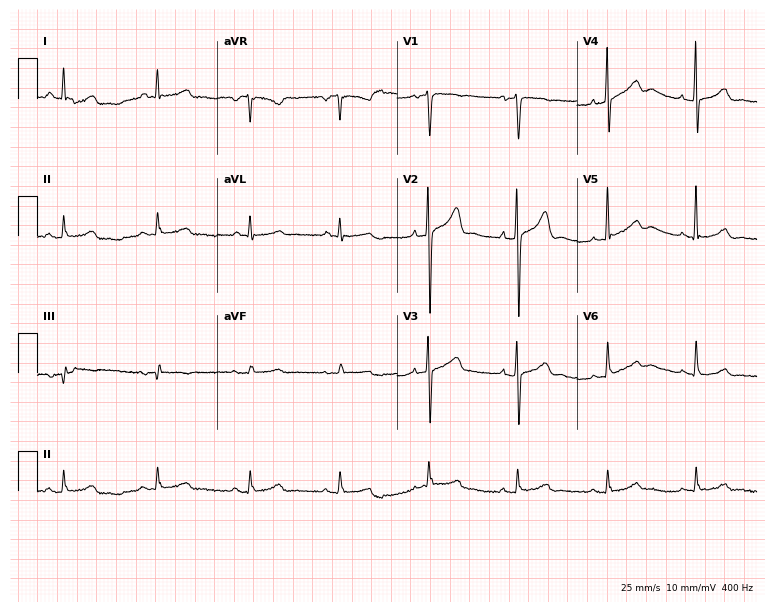
Standard 12-lead ECG recorded from a 66-year-old male patient (7.3-second recording at 400 Hz). Read as a normal ECG.